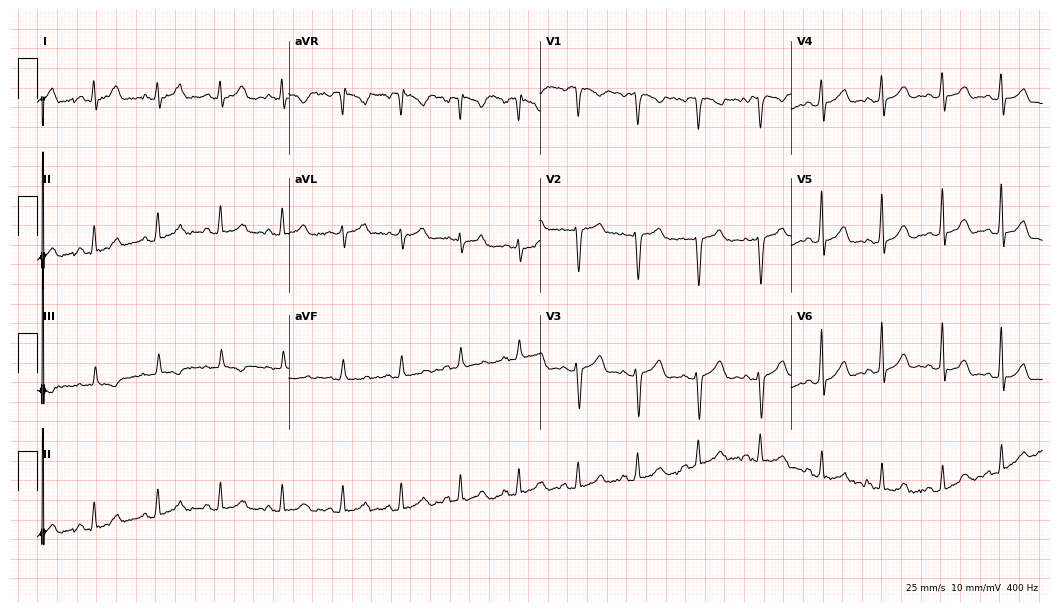
12-lead ECG (10.2-second recording at 400 Hz) from a woman, 34 years old. Labelled as a normal ECG.